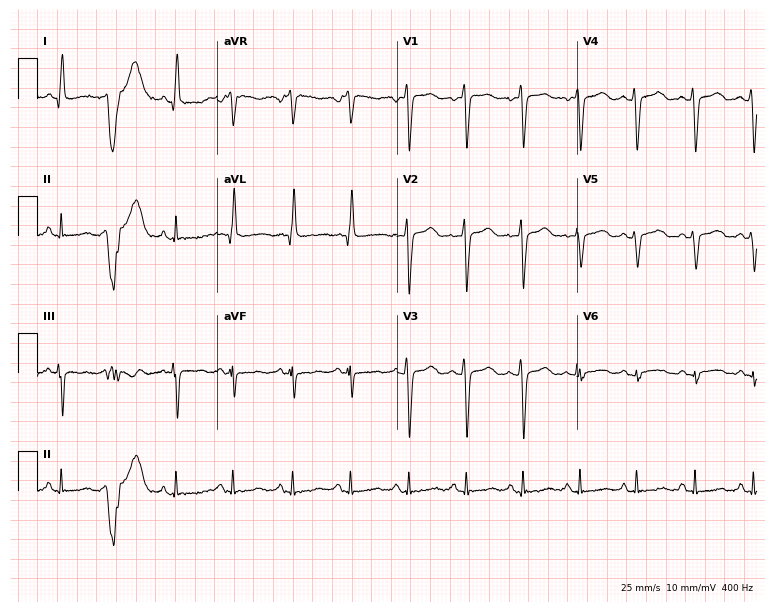
12-lead ECG from a 62-year-old woman (7.3-second recording at 400 Hz). No first-degree AV block, right bundle branch block (RBBB), left bundle branch block (LBBB), sinus bradycardia, atrial fibrillation (AF) or sinus tachycardia recorded for this tracing.